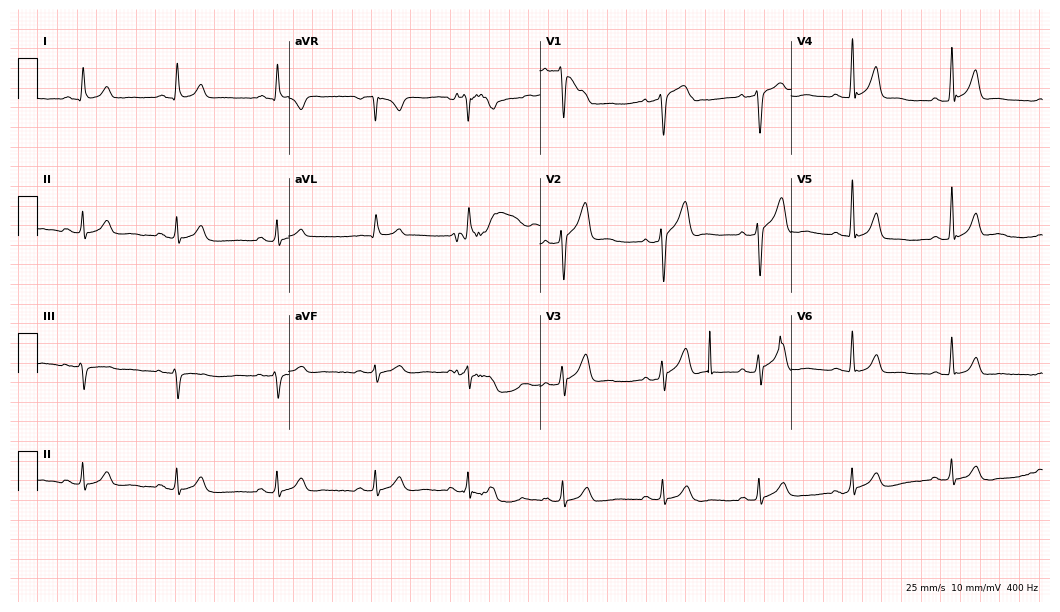
12-lead ECG (10.2-second recording at 400 Hz) from a male, 53 years old. Screened for six findings — first-degree AV block, right bundle branch block, left bundle branch block, sinus bradycardia, atrial fibrillation, sinus tachycardia — none is recorded. Other findings, if any, are not listed.